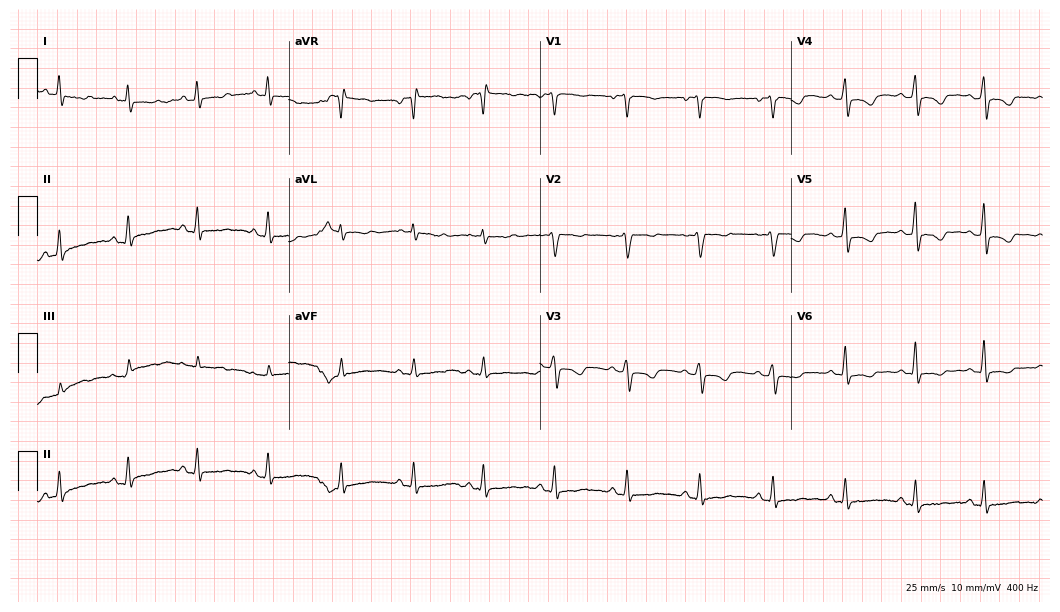
ECG (10.2-second recording at 400 Hz) — a female patient, 41 years old. Screened for six findings — first-degree AV block, right bundle branch block, left bundle branch block, sinus bradycardia, atrial fibrillation, sinus tachycardia — none is recorded. Findings outside these six are not listed.